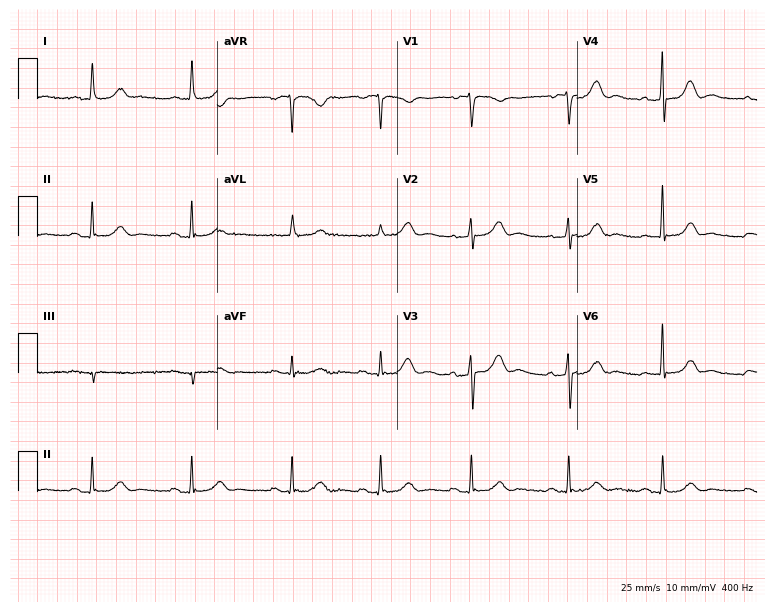
12-lead ECG from a woman, 74 years old. Screened for six findings — first-degree AV block, right bundle branch block (RBBB), left bundle branch block (LBBB), sinus bradycardia, atrial fibrillation (AF), sinus tachycardia — none is recorded.